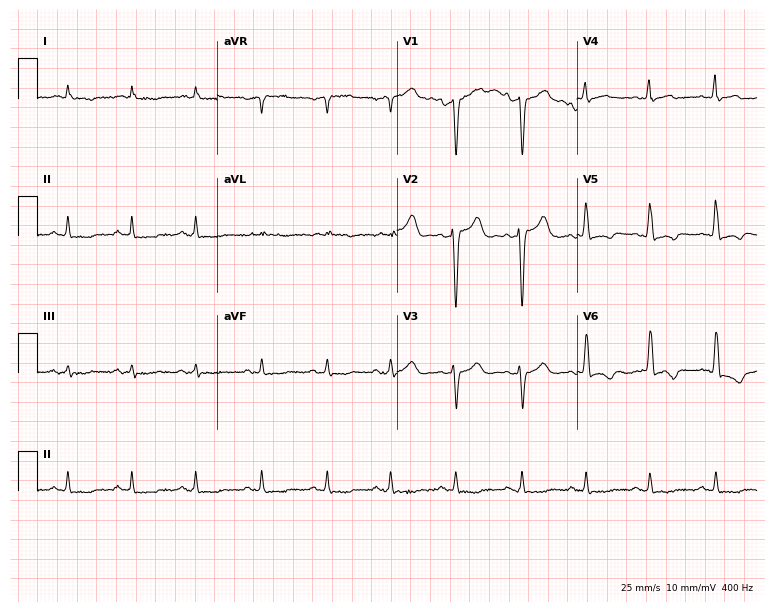
Electrocardiogram (7.3-second recording at 400 Hz), an 84-year-old male. Of the six screened findings (first-degree AV block, right bundle branch block (RBBB), left bundle branch block (LBBB), sinus bradycardia, atrial fibrillation (AF), sinus tachycardia), none is recorded. Findings outside these six are not listed.